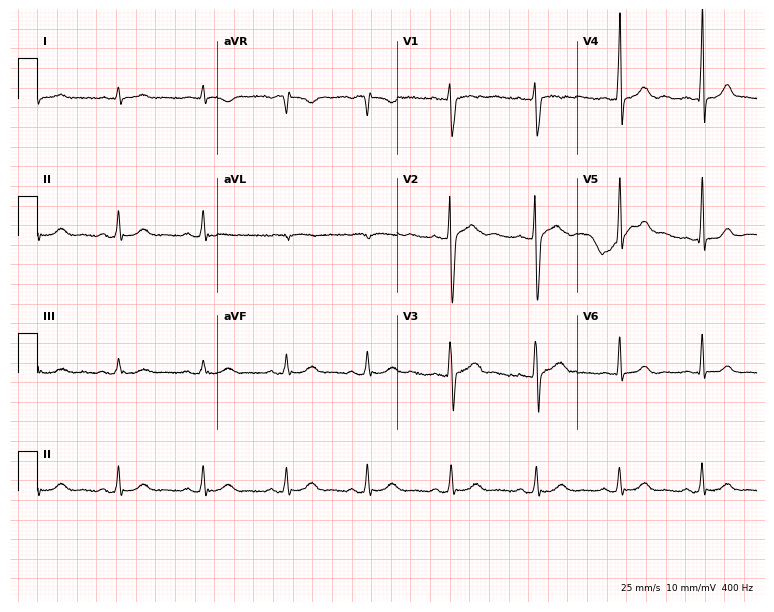
12-lead ECG from a 39-year-old man. No first-degree AV block, right bundle branch block (RBBB), left bundle branch block (LBBB), sinus bradycardia, atrial fibrillation (AF) or sinus tachycardia recorded for this tracing. Only these six findings were labelled.